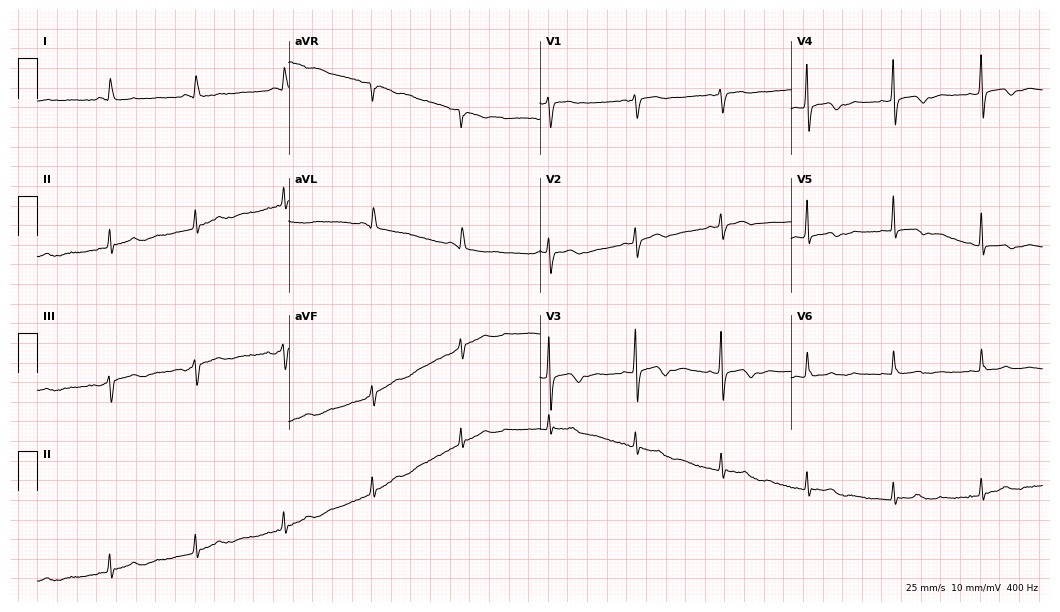
Electrocardiogram, a 67-year-old female patient. Of the six screened findings (first-degree AV block, right bundle branch block (RBBB), left bundle branch block (LBBB), sinus bradycardia, atrial fibrillation (AF), sinus tachycardia), none is recorded. Other findings, if any, are not listed.